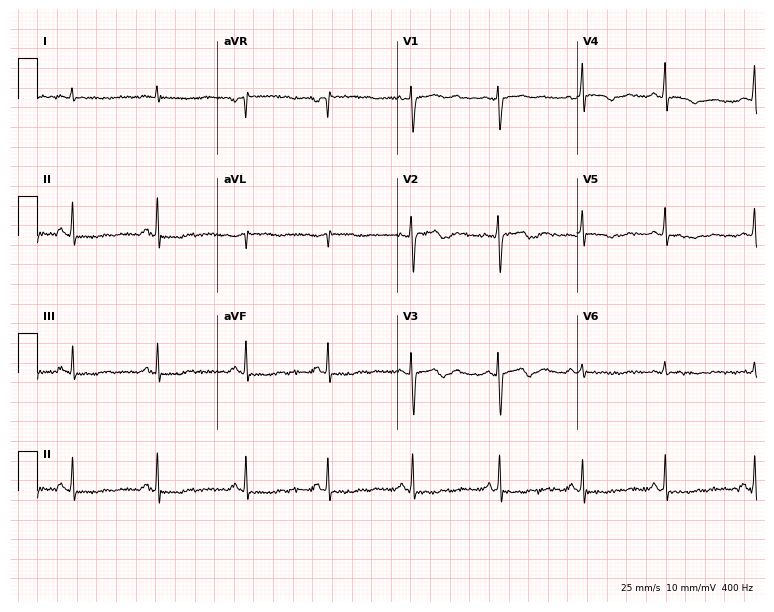
Electrocardiogram (7.3-second recording at 400 Hz), a female patient, 26 years old. Of the six screened findings (first-degree AV block, right bundle branch block, left bundle branch block, sinus bradycardia, atrial fibrillation, sinus tachycardia), none is recorded. Other findings, if any, are not listed.